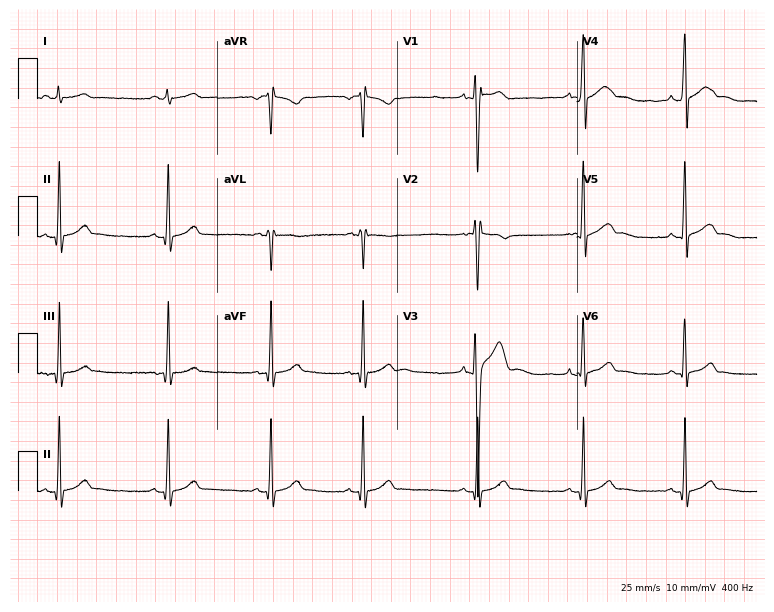
12-lead ECG (7.3-second recording at 400 Hz) from a 20-year-old male. Screened for six findings — first-degree AV block, right bundle branch block, left bundle branch block, sinus bradycardia, atrial fibrillation, sinus tachycardia — none is recorded.